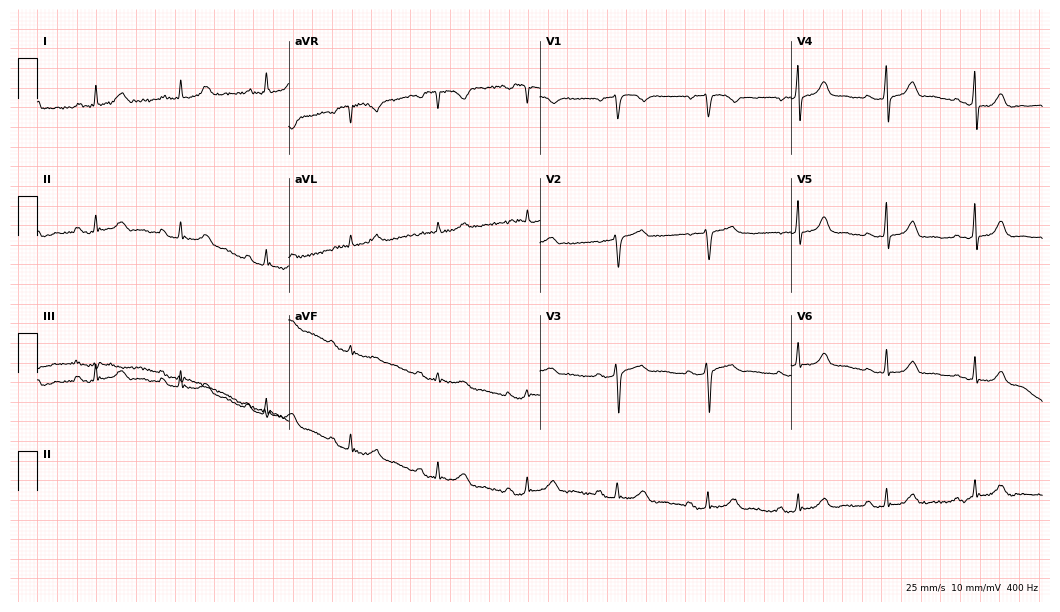
12-lead ECG from a woman, 69 years old. No first-degree AV block, right bundle branch block (RBBB), left bundle branch block (LBBB), sinus bradycardia, atrial fibrillation (AF) or sinus tachycardia recorded for this tracing.